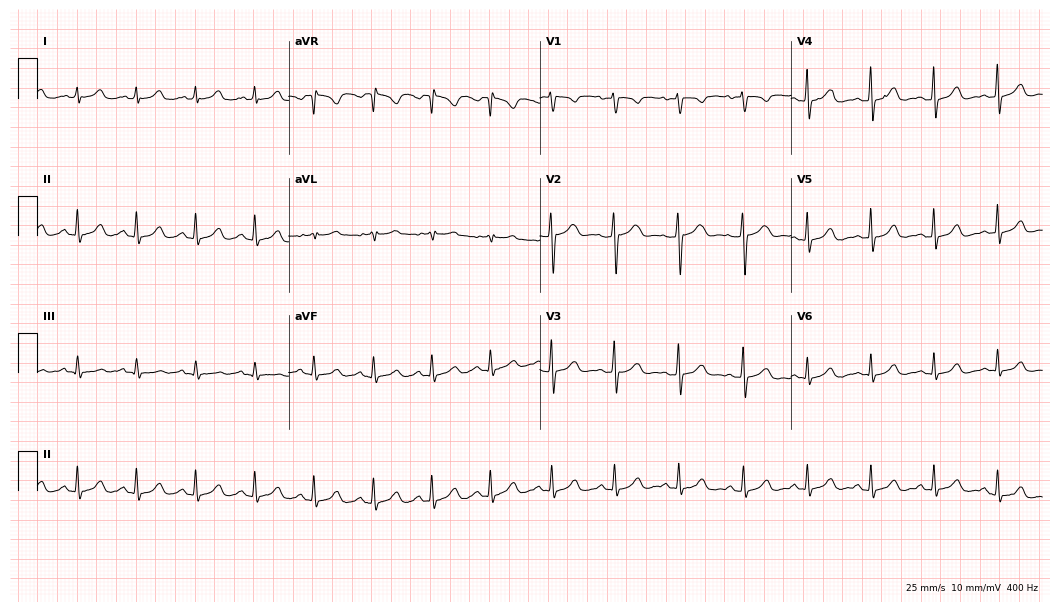
Standard 12-lead ECG recorded from a woman, 40 years old (10.2-second recording at 400 Hz). Read as a normal ECG.